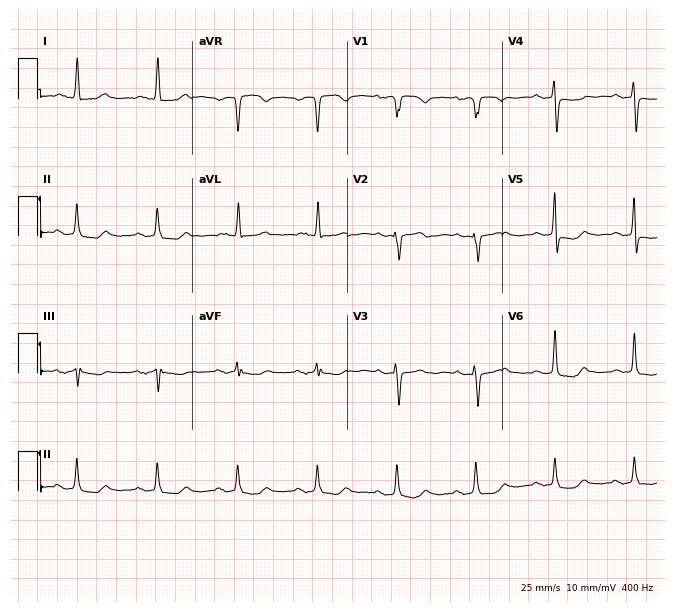
Resting 12-lead electrocardiogram (6.3-second recording at 400 Hz). Patient: a 69-year-old female. Read as a normal ECG.